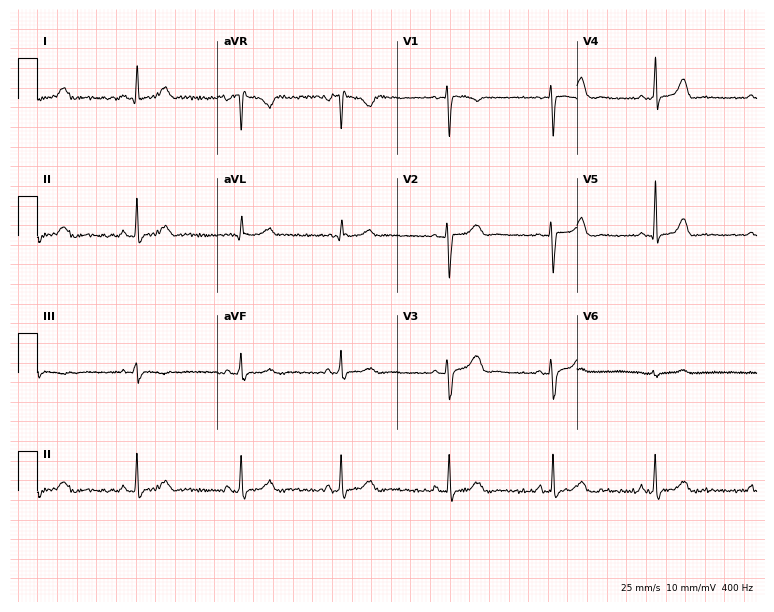
ECG (7.3-second recording at 400 Hz) — a female, 32 years old. Screened for six findings — first-degree AV block, right bundle branch block, left bundle branch block, sinus bradycardia, atrial fibrillation, sinus tachycardia — none is recorded. Other findings, if any, are not listed.